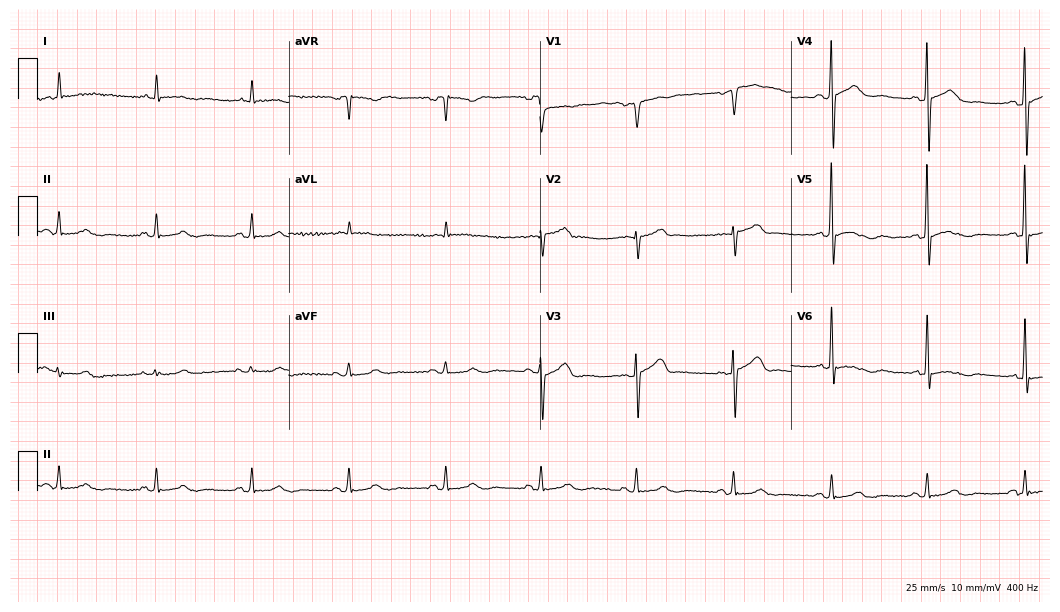
ECG — a 70-year-old male. Screened for six findings — first-degree AV block, right bundle branch block, left bundle branch block, sinus bradycardia, atrial fibrillation, sinus tachycardia — none is recorded. Findings outside these six are not listed.